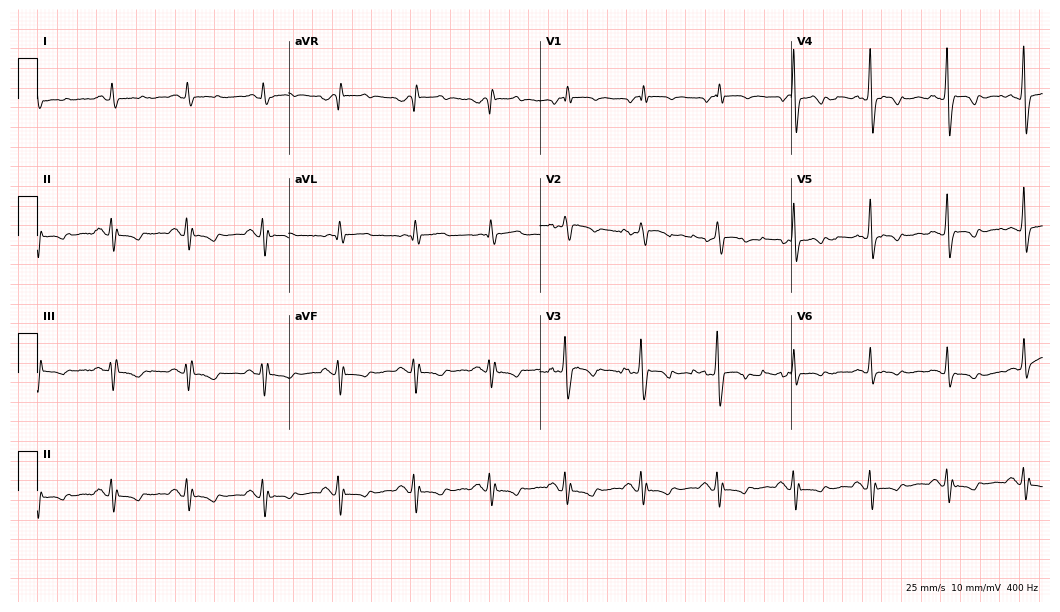
12-lead ECG from a man, 68 years old. Labelled as a normal ECG.